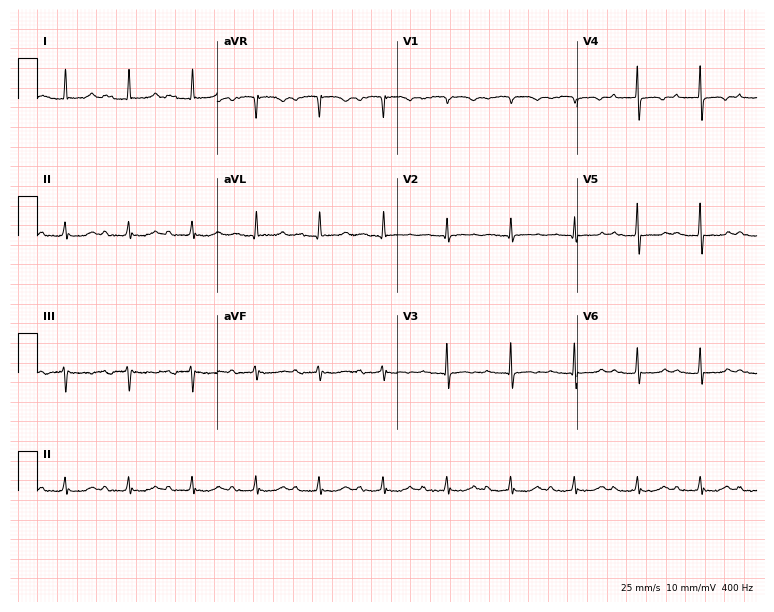
Resting 12-lead electrocardiogram. Patient: a 79-year-old female. The tracing shows first-degree AV block.